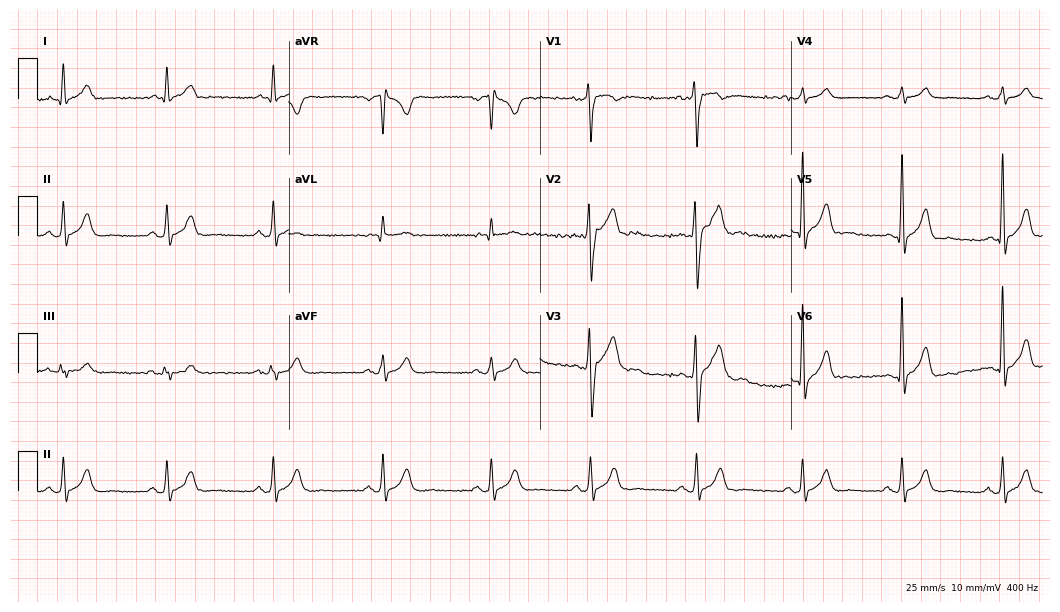
12-lead ECG from a male, 40 years old. No first-degree AV block, right bundle branch block (RBBB), left bundle branch block (LBBB), sinus bradycardia, atrial fibrillation (AF) or sinus tachycardia recorded for this tracing.